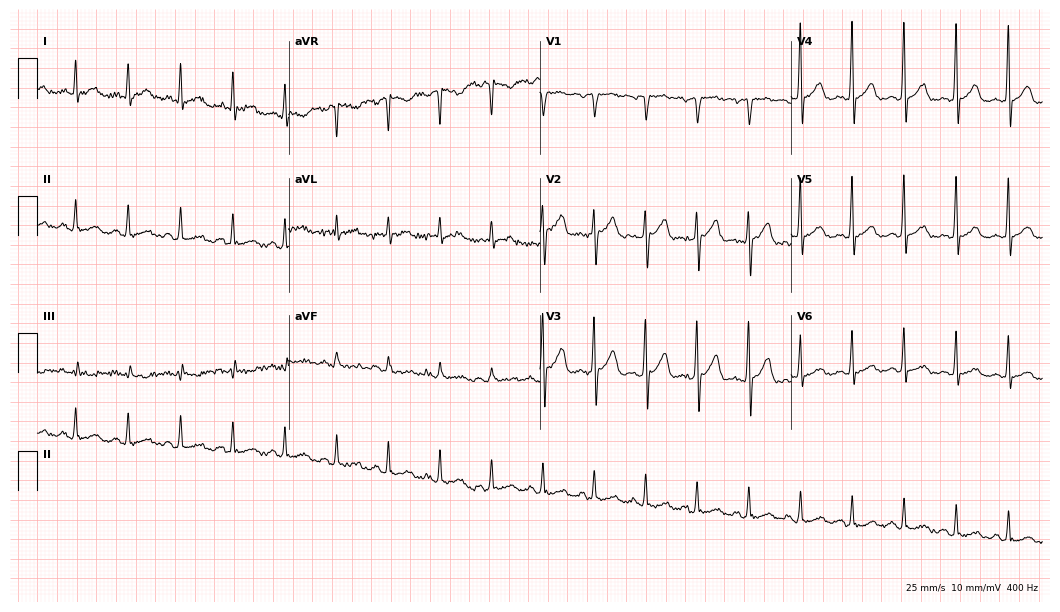
12-lead ECG from a 65-year-old male patient. Findings include sinus tachycardia (a sinus rate of 100 beats per minute or more).